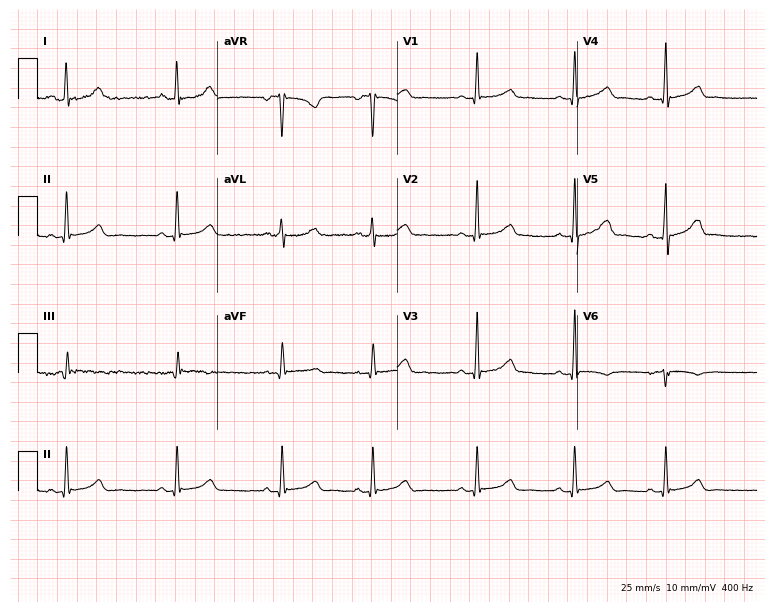
Standard 12-lead ECG recorded from a female patient, 34 years old. None of these six findings is recorded: first-degree AV block, right bundle branch block, left bundle branch block, sinus bradycardia, atrial fibrillation, sinus tachycardia. Only these six findings were labelled.